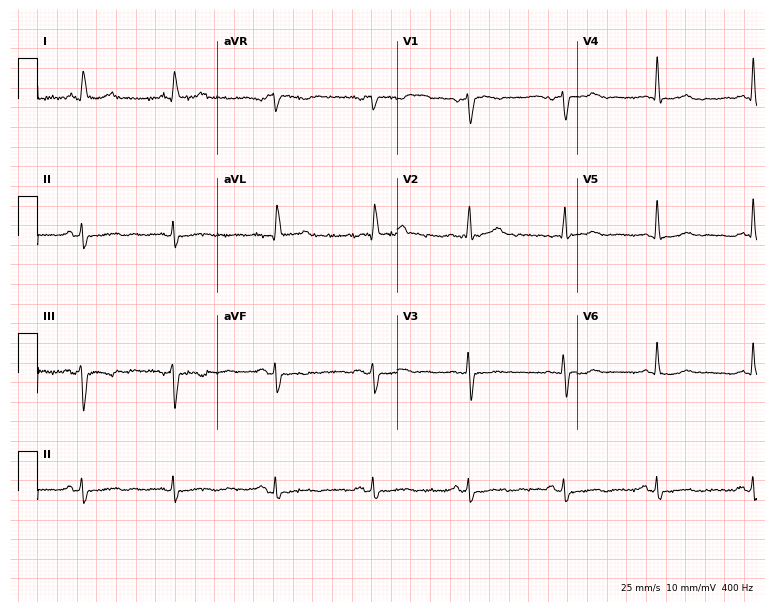
12-lead ECG (7.3-second recording at 400 Hz) from a man, 81 years old. Screened for six findings — first-degree AV block, right bundle branch block, left bundle branch block, sinus bradycardia, atrial fibrillation, sinus tachycardia — none is recorded. Only these six findings were labelled.